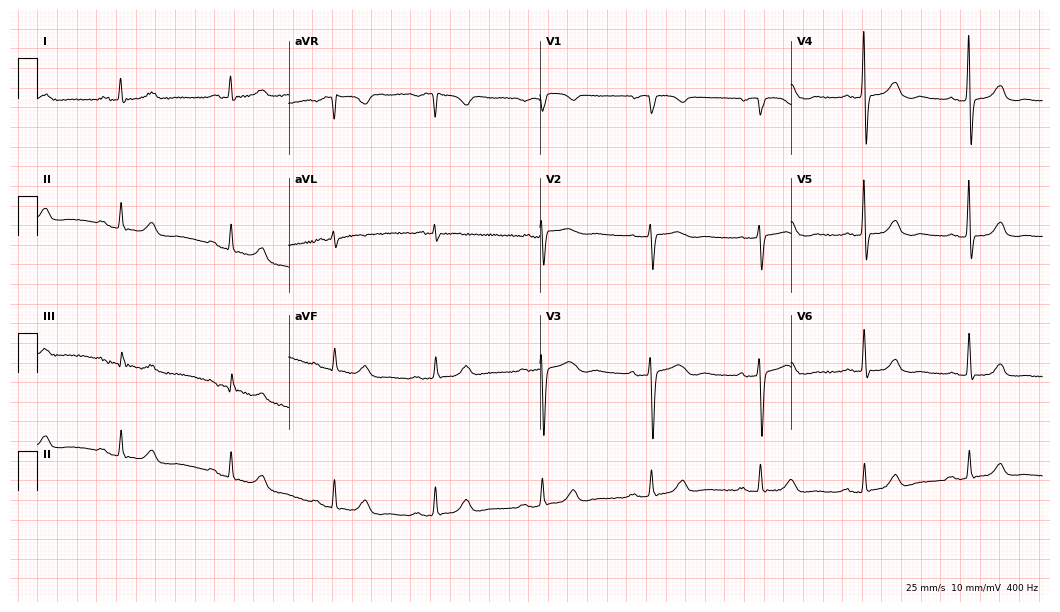
ECG (10.2-second recording at 400 Hz) — a 70-year-old woman. Findings include first-degree AV block.